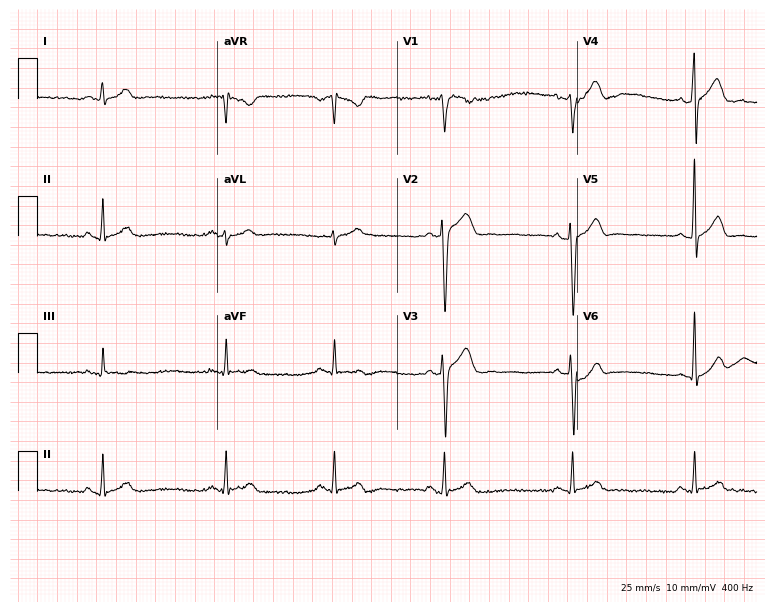
Resting 12-lead electrocardiogram (7.3-second recording at 400 Hz). Patient: a 22-year-old male. Read as a normal ECG.